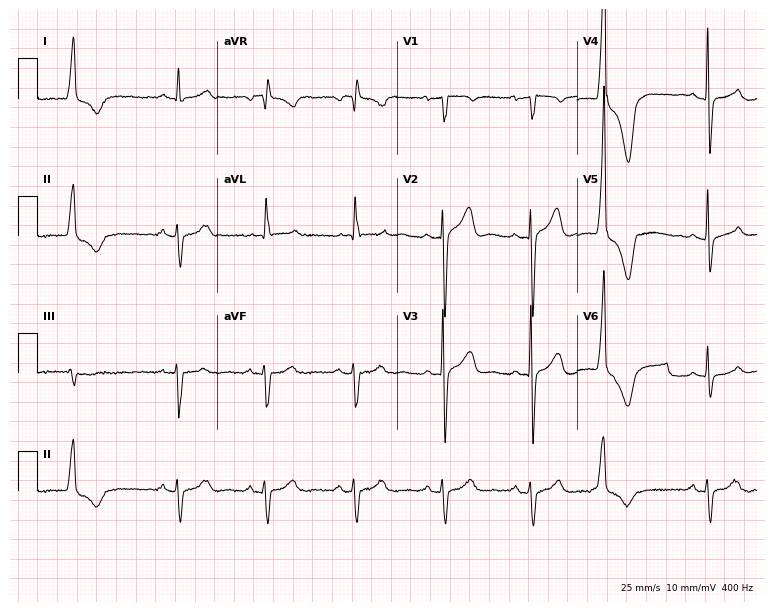
ECG — a 60-year-old male patient. Screened for six findings — first-degree AV block, right bundle branch block, left bundle branch block, sinus bradycardia, atrial fibrillation, sinus tachycardia — none is recorded.